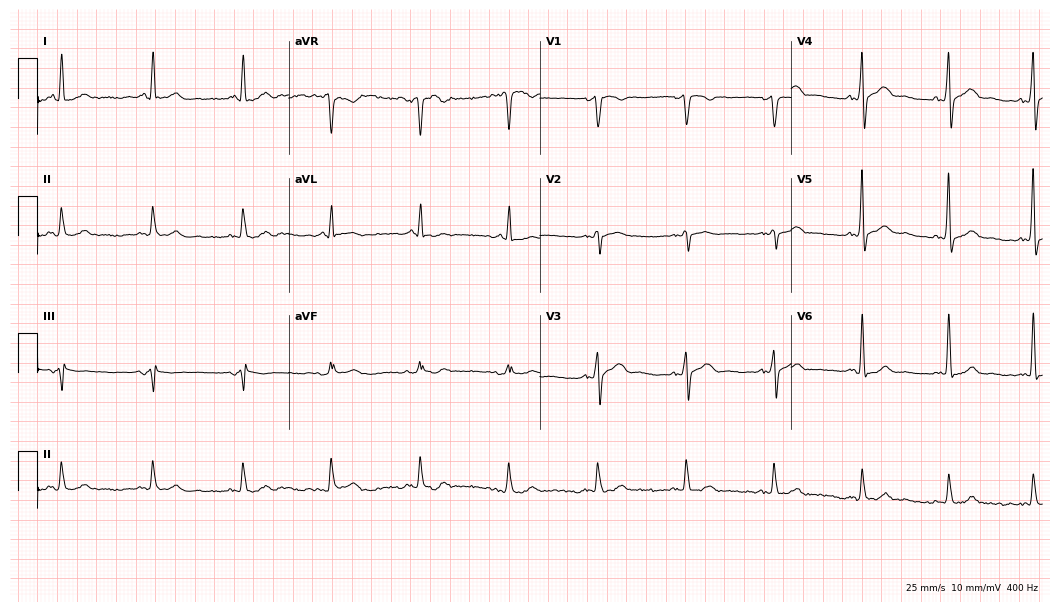
12-lead ECG (10.2-second recording at 400 Hz) from a man, 54 years old. Screened for six findings — first-degree AV block, right bundle branch block (RBBB), left bundle branch block (LBBB), sinus bradycardia, atrial fibrillation (AF), sinus tachycardia — none is recorded.